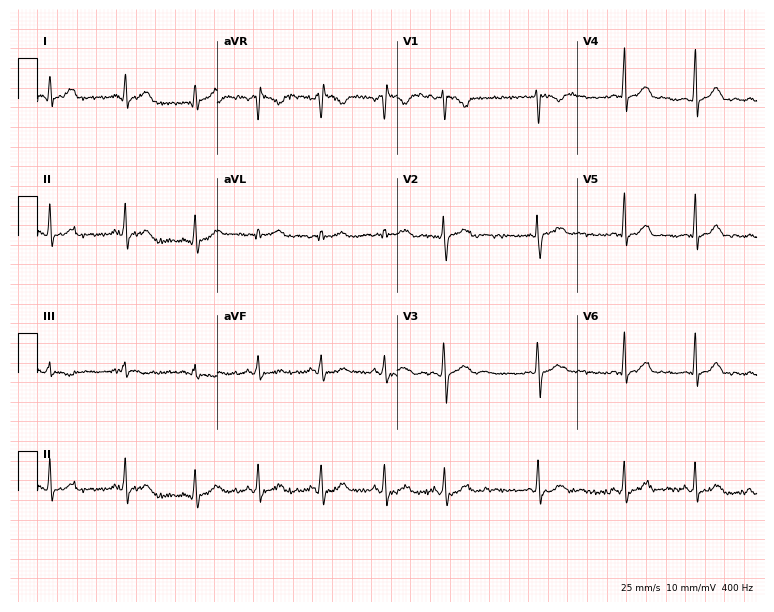
Resting 12-lead electrocardiogram (7.3-second recording at 400 Hz). Patient: an 18-year-old female. None of these six findings is recorded: first-degree AV block, right bundle branch block, left bundle branch block, sinus bradycardia, atrial fibrillation, sinus tachycardia. Other findings, if any, are not listed.